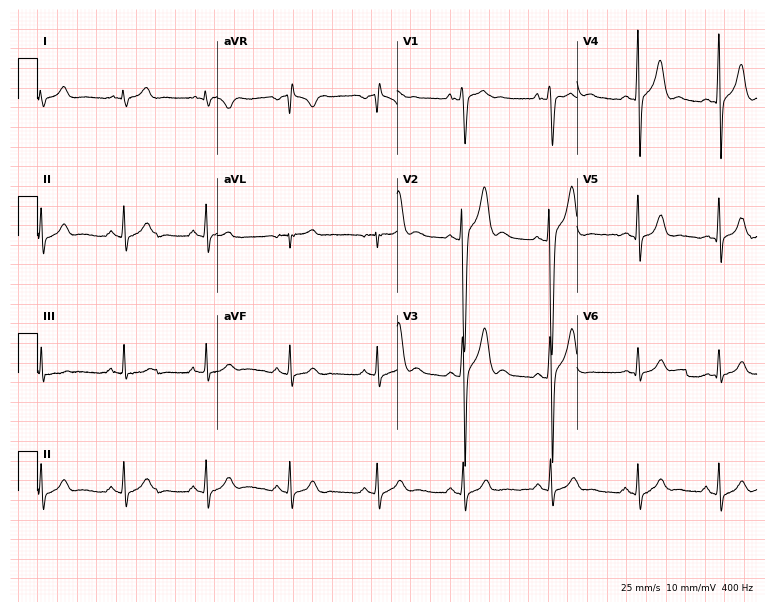
Electrocardiogram (7.3-second recording at 400 Hz), a male patient, 18 years old. Of the six screened findings (first-degree AV block, right bundle branch block (RBBB), left bundle branch block (LBBB), sinus bradycardia, atrial fibrillation (AF), sinus tachycardia), none is recorded.